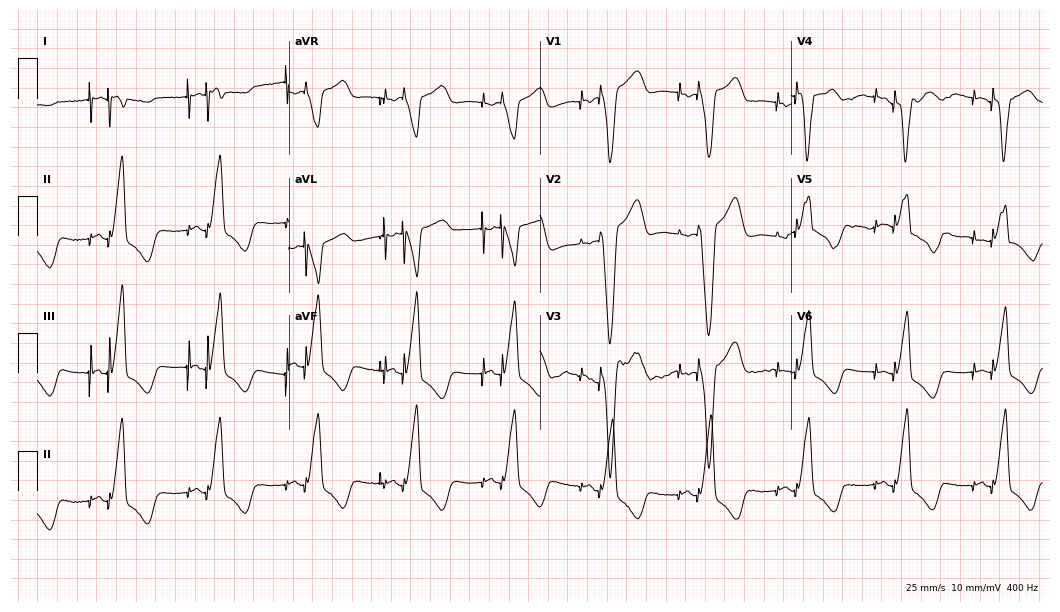
Resting 12-lead electrocardiogram (10.2-second recording at 400 Hz). Patient: a woman, 76 years old. None of these six findings is recorded: first-degree AV block, right bundle branch block, left bundle branch block, sinus bradycardia, atrial fibrillation, sinus tachycardia.